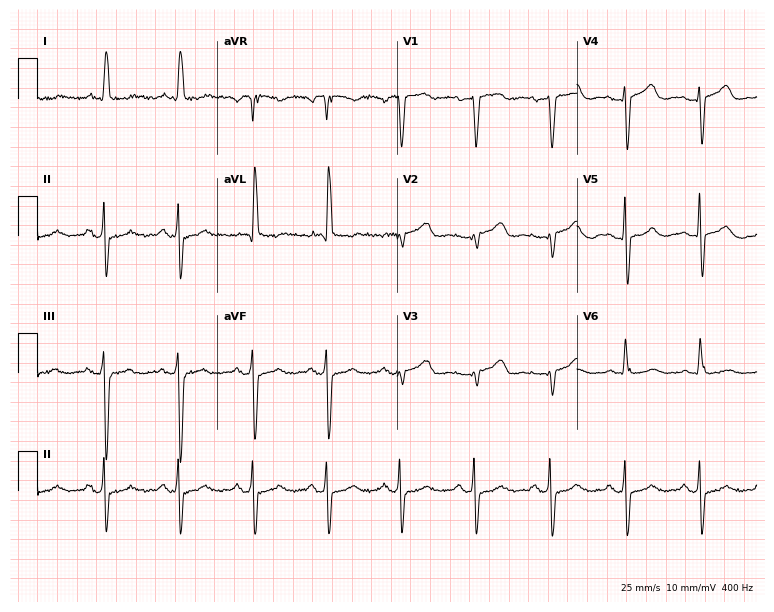
12-lead ECG (7.3-second recording at 400 Hz) from a 74-year-old female. Screened for six findings — first-degree AV block, right bundle branch block, left bundle branch block, sinus bradycardia, atrial fibrillation, sinus tachycardia — none is recorded.